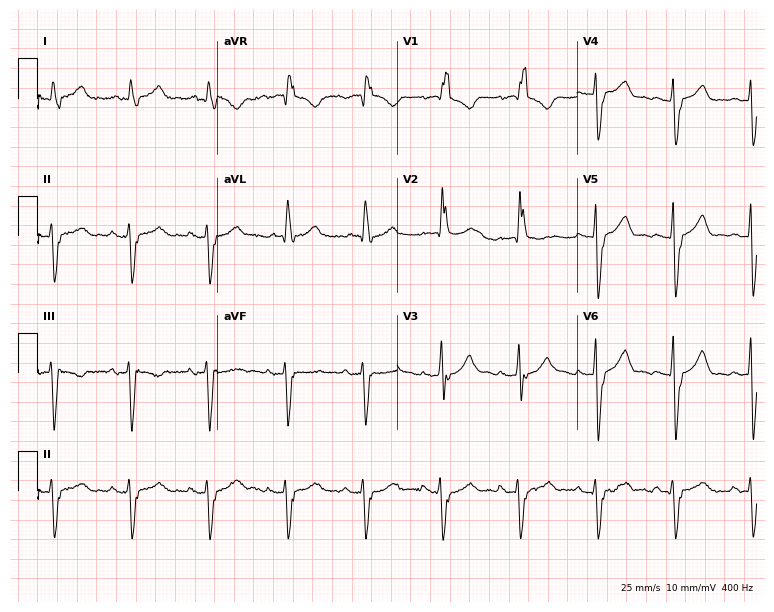
Resting 12-lead electrocardiogram. Patient: an 85-year-old male. The tracing shows right bundle branch block.